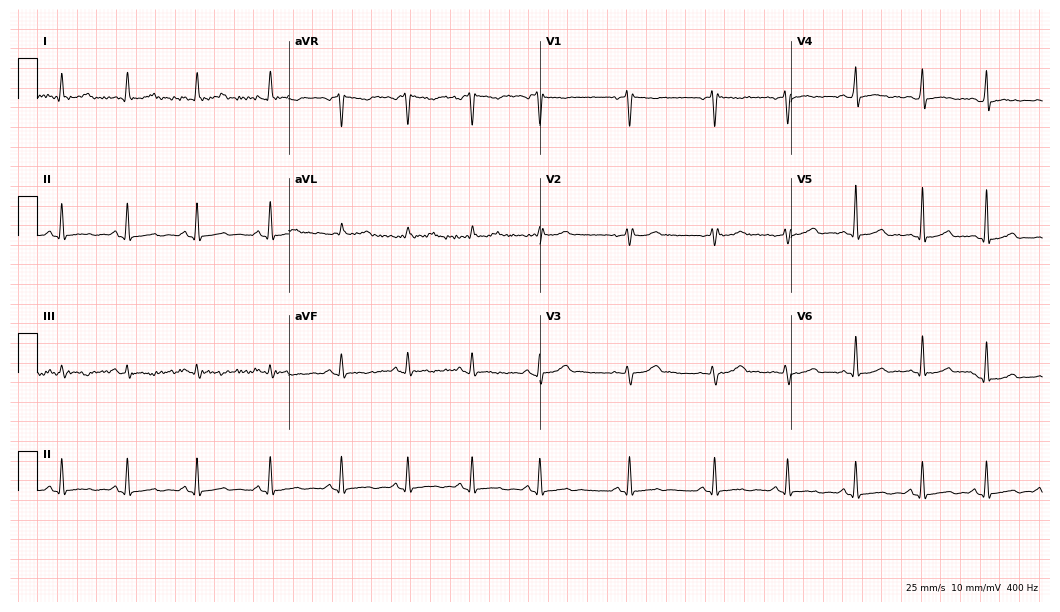
ECG — a woman, 21 years old. Screened for six findings — first-degree AV block, right bundle branch block (RBBB), left bundle branch block (LBBB), sinus bradycardia, atrial fibrillation (AF), sinus tachycardia — none is recorded. Findings outside these six are not listed.